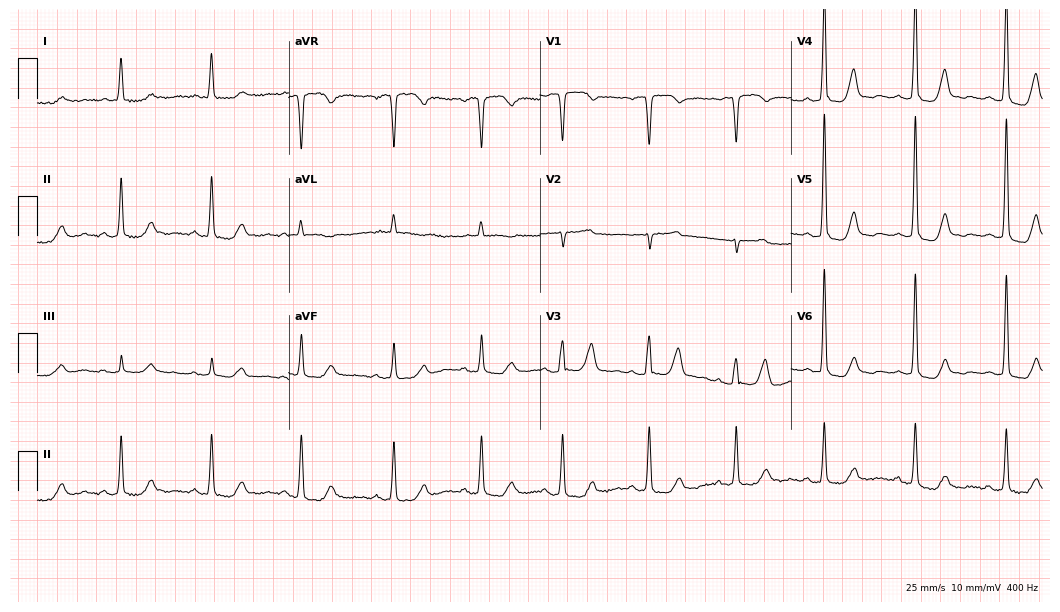
Resting 12-lead electrocardiogram. Patient: a female, 81 years old. None of these six findings is recorded: first-degree AV block, right bundle branch block, left bundle branch block, sinus bradycardia, atrial fibrillation, sinus tachycardia. Findings outside these six are not listed.